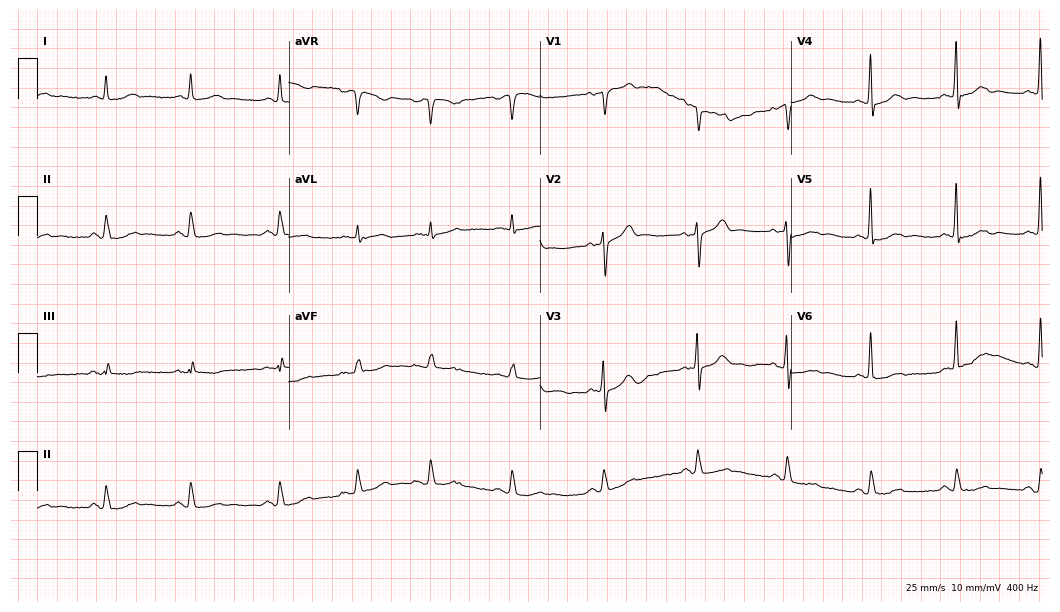
Standard 12-lead ECG recorded from a male, 68 years old (10.2-second recording at 400 Hz). None of these six findings is recorded: first-degree AV block, right bundle branch block, left bundle branch block, sinus bradycardia, atrial fibrillation, sinus tachycardia. Findings outside these six are not listed.